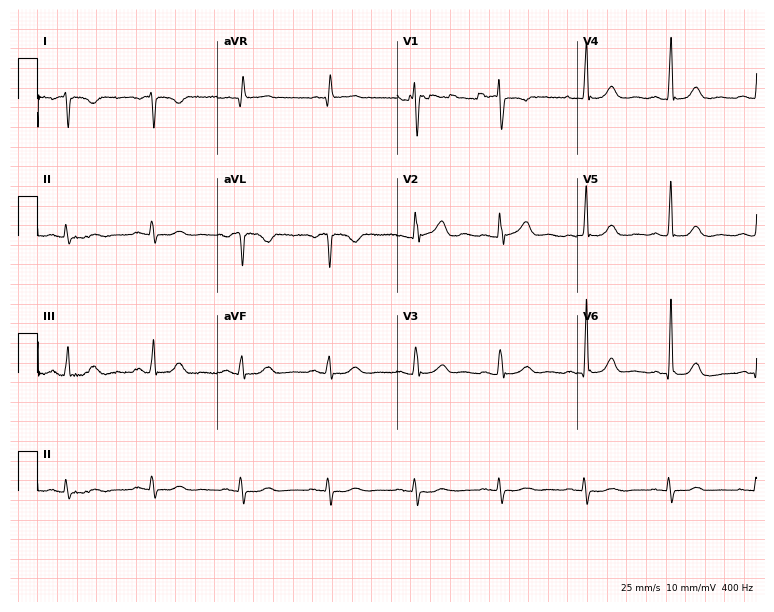
ECG (7.3-second recording at 400 Hz) — a 60-year-old female. Labelled as a normal ECG.